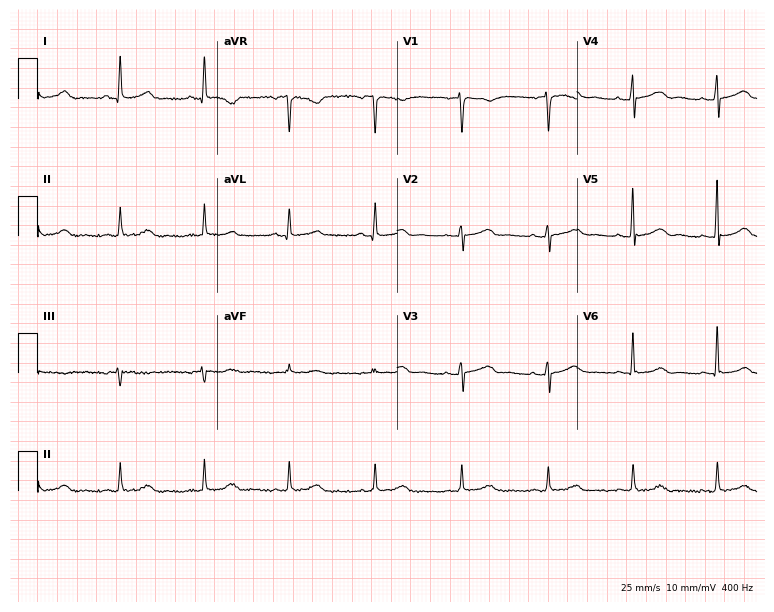
Standard 12-lead ECG recorded from a female patient, 57 years old (7.3-second recording at 400 Hz). Read as a normal ECG.